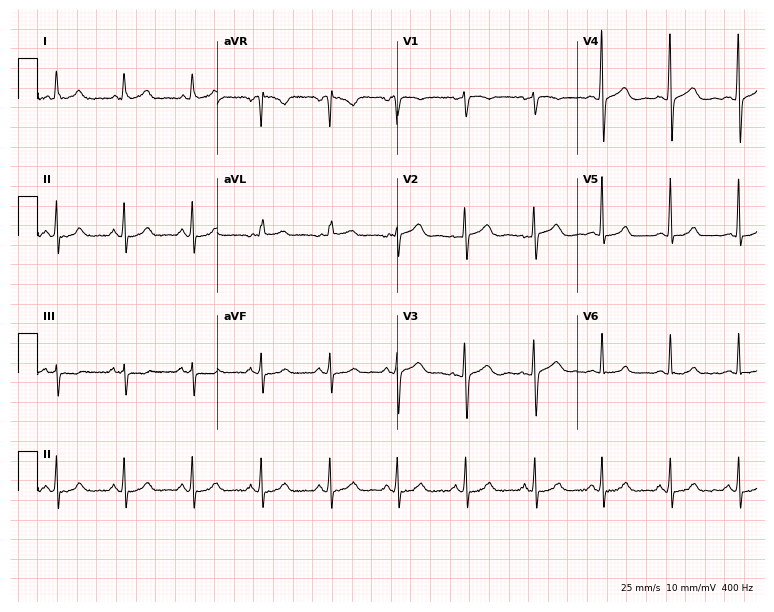
12-lead ECG from a 54-year-old female patient (7.3-second recording at 400 Hz). No first-degree AV block, right bundle branch block, left bundle branch block, sinus bradycardia, atrial fibrillation or sinus tachycardia recorded for this tracing. Only these six findings were labelled.